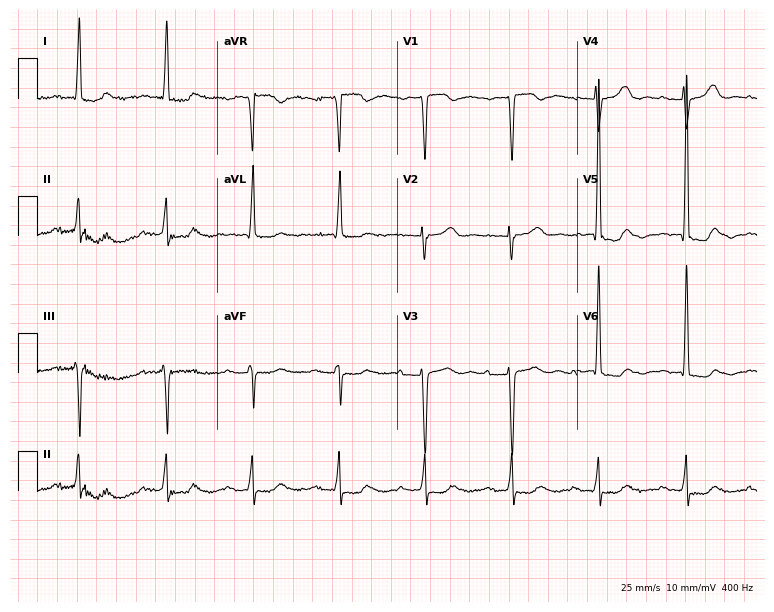
Standard 12-lead ECG recorded from a female patient, 86 years old (7.3-second recording at 400 Hz). The tracing shows first-degree AV block.